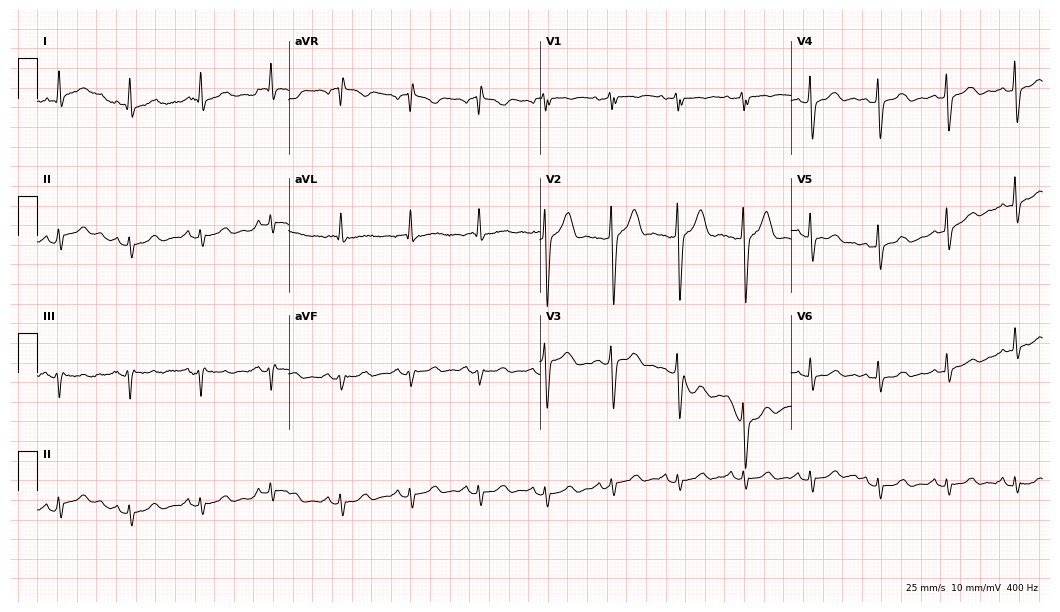
12-lead ECG from a 76-year-old man. Labelled as a normal ECG.